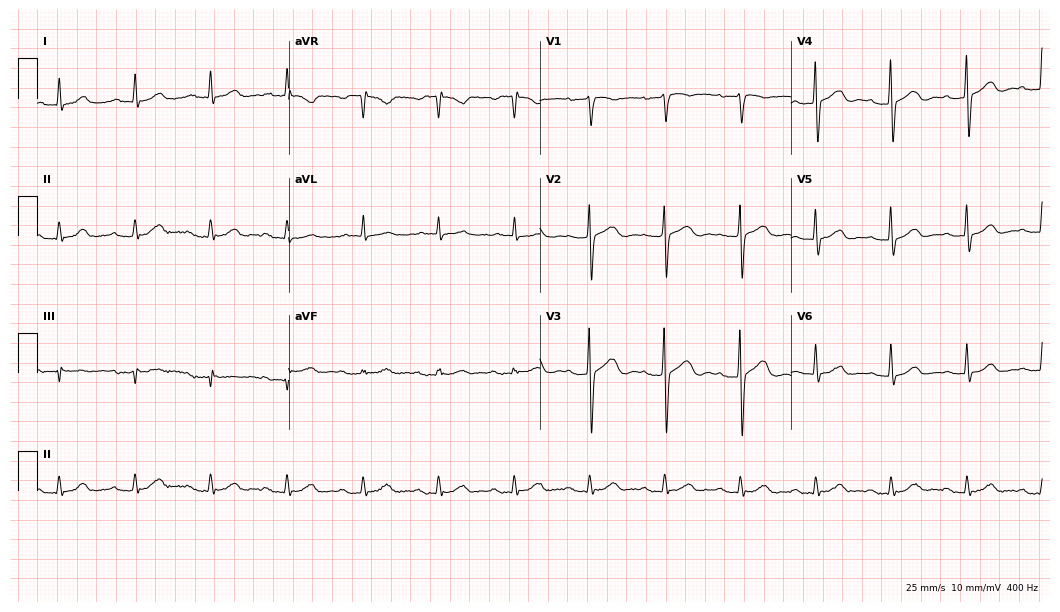
12-lead ECG from a male patient, 85 years old (10.2-second recording at 400 Hz). Shows first-degree AV block.